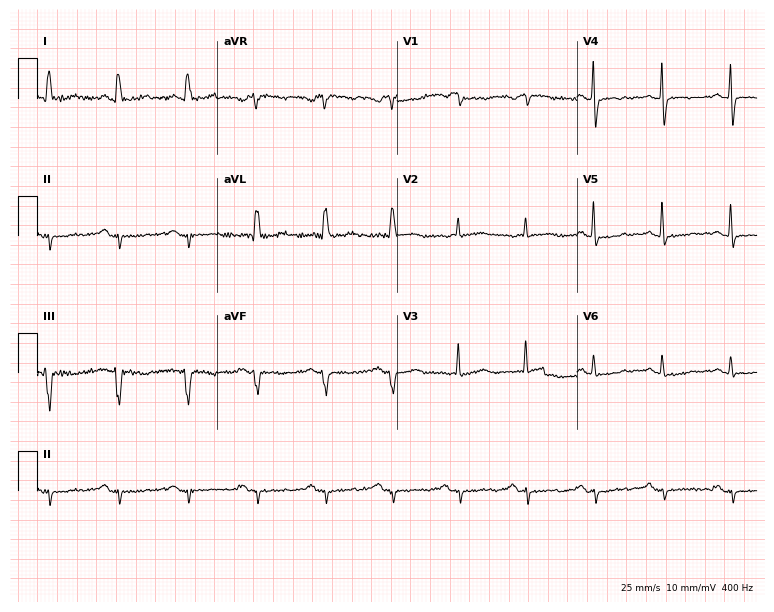
12-lead ECG from a female patient, 74 years old. Screened for six findings — first-degree AV block, right bundle branch block, left bundle branch block, sinus bradycardia, atrial fibrillation, sinus tachycardia — none is recorded.